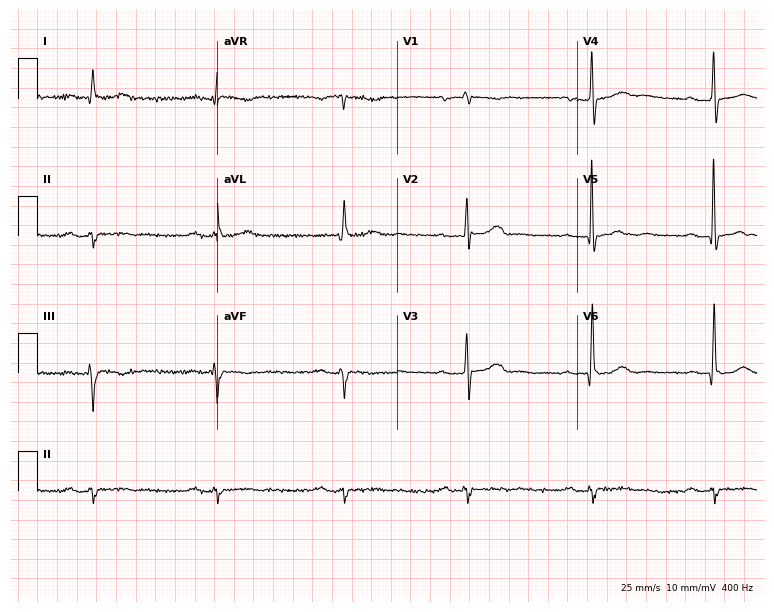
12-lead ECG from an 81-year-old man (7.3-second recording at 400 Hz). Shows first-degree AV block, right bundle branch block.